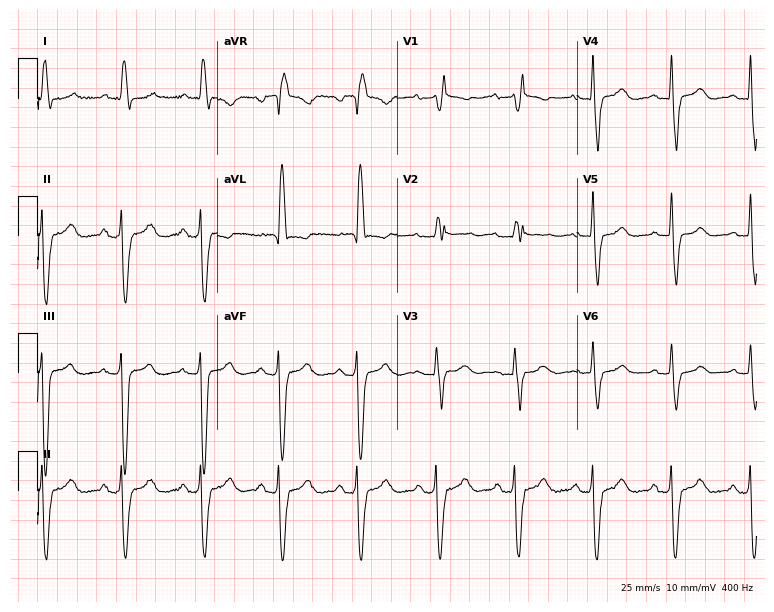
Resting 12-lead electrocardiogram. Patient: a 77-year-old female. The tracing shows first-degree AV block, right bundle branch block.